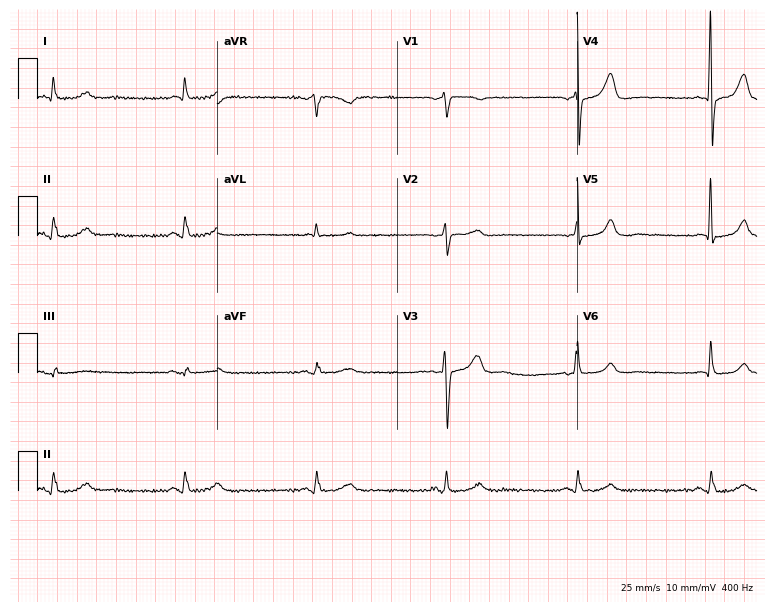
Electrocardiogram, a man, 76 years old. Of the six screened findings (first-degree AV block, right bundle branch block (RBBB), left bundle branch block (LBBB), sinus bradycardia, atrial fibrillation (AF), sinus tachycardia), none is recorded. Findings outside these six are not listed.